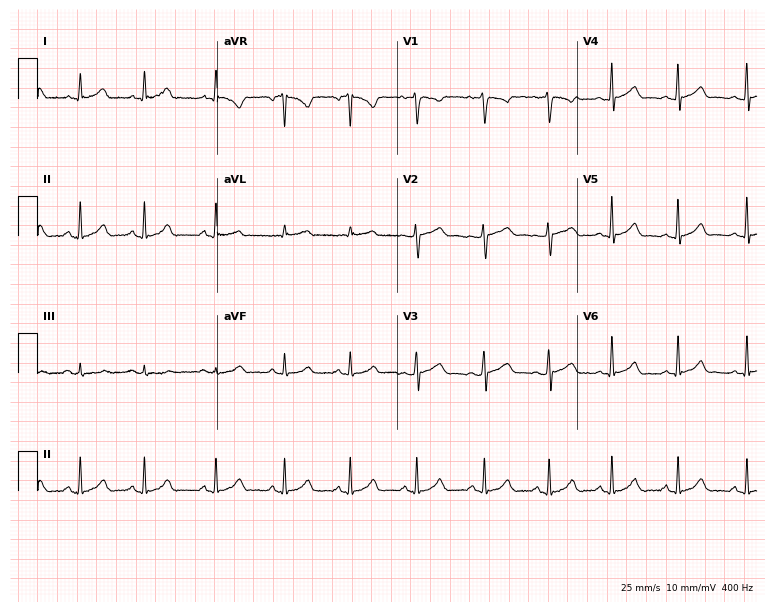
Electrocardiogram, a woman, 19 years old. Overall reading on record: normal ECG.